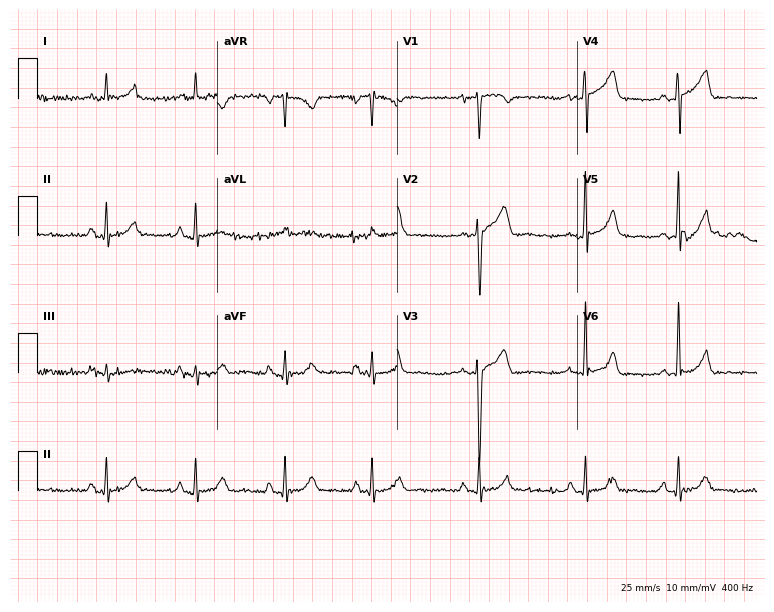
Electrocardiogram, a male, 60 years old. Overall reading on record: normal ECG.